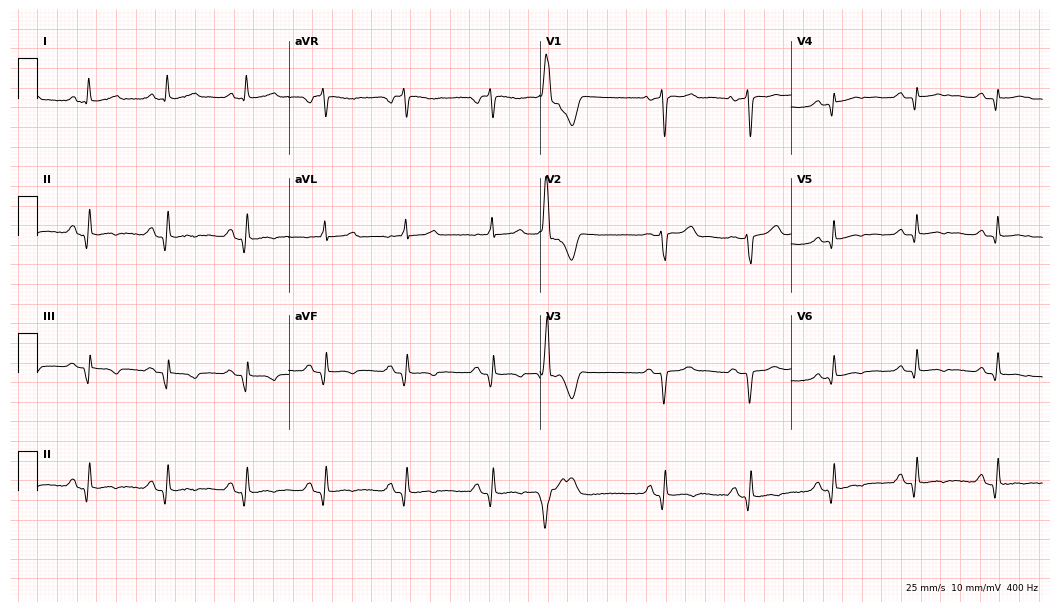
Standard 12-lead ECG recorded from a 50-year-old female. None of these six findings is recorded: first-degree AV block, right bundle branch block, left bundle branch block, sinus bradycardia, atrial fibrillation, sinus tachycardia. Other findings, if any, are not listed.